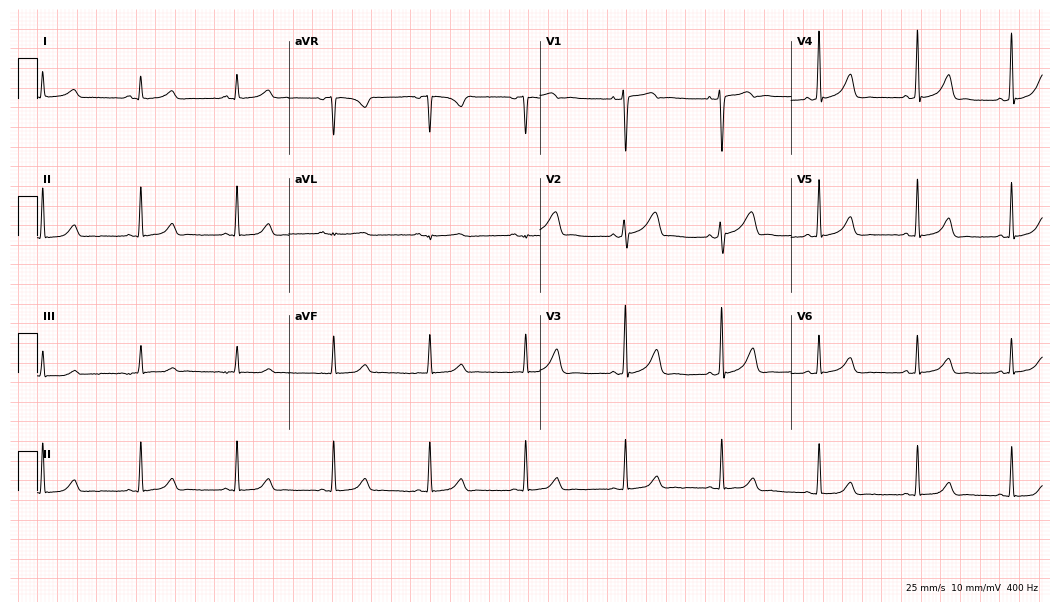
ECG (10.2-second recording at 400 Hz) — a woman, 35 years old. Labelled as a normal ECG.